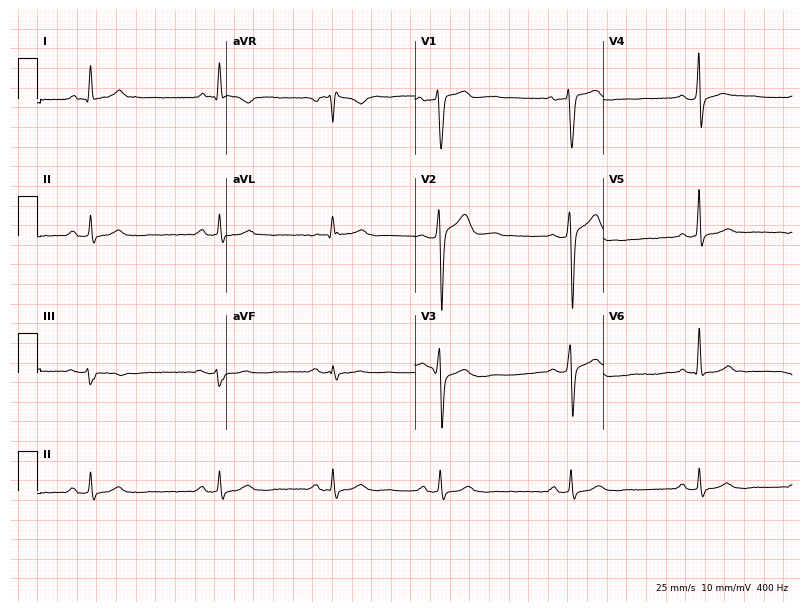
Standard 12-lead ECG recorded from a man, 38 years old. None of these six findings is recorded: first-degree AV block, right bundle branch block, left bundle branch block, sinus bradycardia, atrial fibrillation, sinus tachycardia. Findings outside these six are not listed.